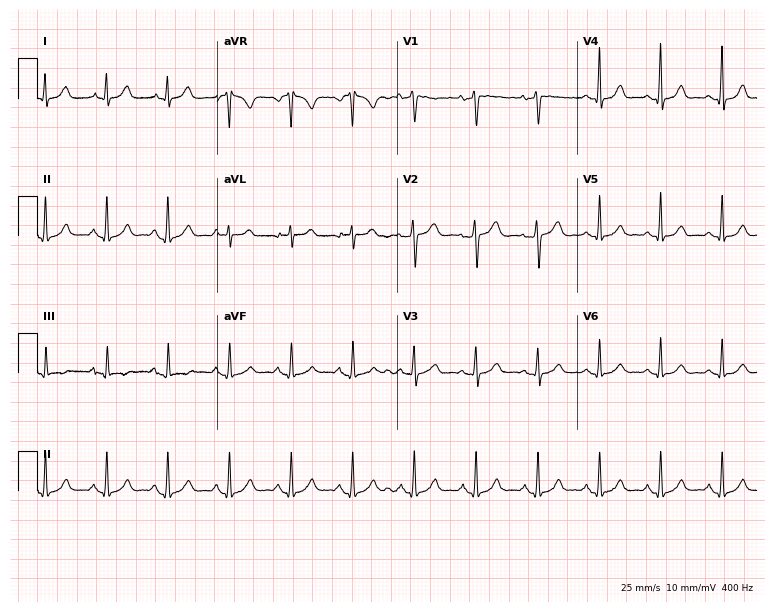
Electrocardiogram, a 58-year-old female. Overall reading on record: normal ECG.